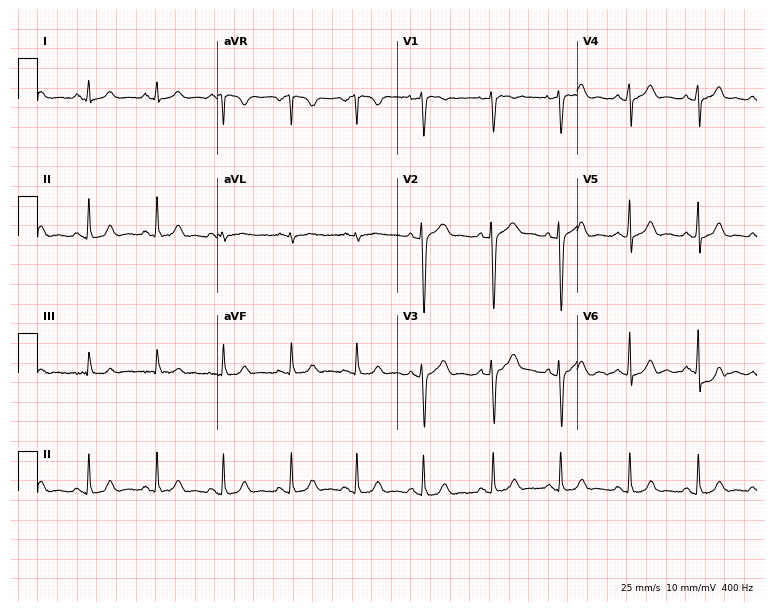
Standard 12-lead ECG recorded from a female patient, 27 years old (7.3-second recording at 400 Hz). Read as a normal ECG.